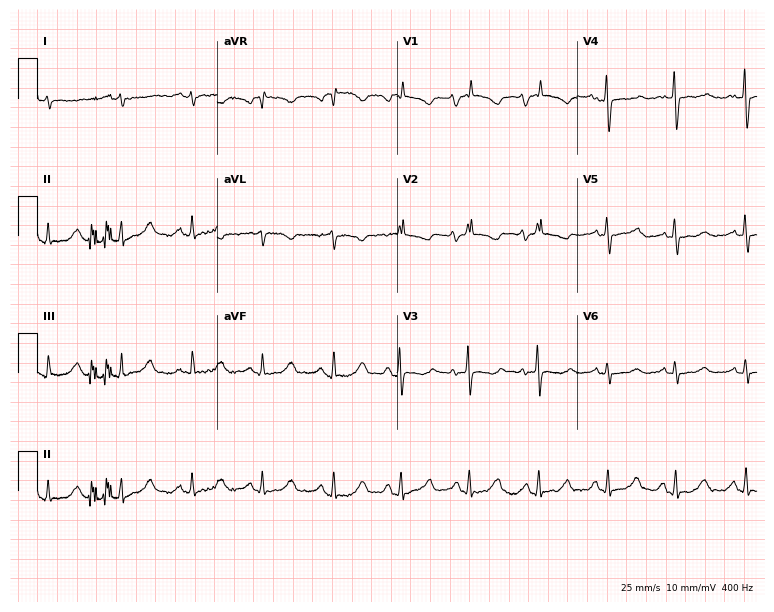
Resting 12-lead electrocardiogram. Patient: a female, 27 years old. None of these six findings is recorded: first-degree AV block, right bundle branch block, left bundle branch block, sinus bradycardia, atrial fibrillation, sinus tachycardia.